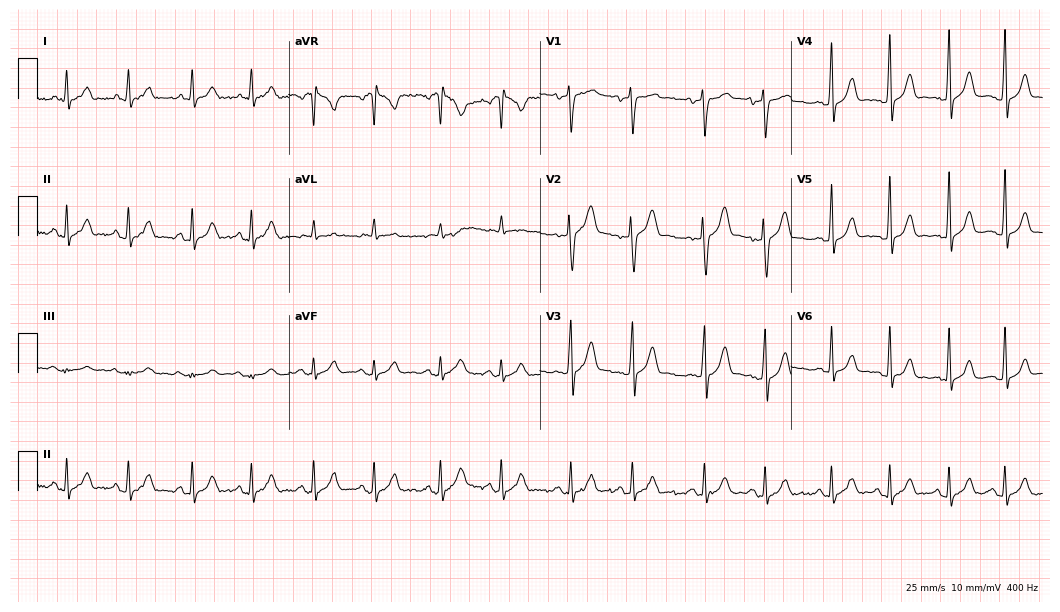
Electrocardiogram (10.2-second recording at 400 Hz), a male patient, 27 years old. Of the six screened findings (first-degree AV block, right bundle branch block, left bundle branch block, sinus bradycardia, atrial fibrillation, sinus tachycardia), none is recorded. Other findings, if any, are not listed.